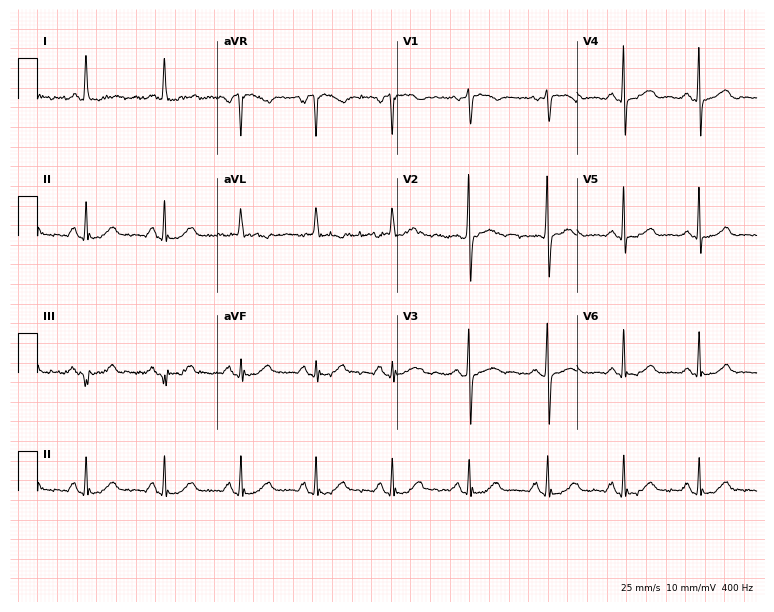
ECG — an 81-year-old female. Labelled as a normal ECG.